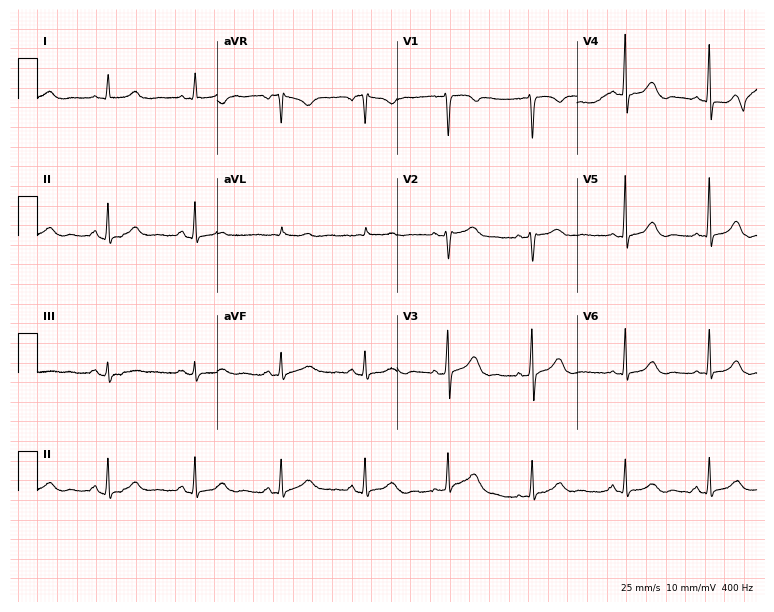
Resting 12-lead electrocardiogram (7.3-second recording at 400 Hz). Patient: a 44-year-old female. Read as a normal ECG.